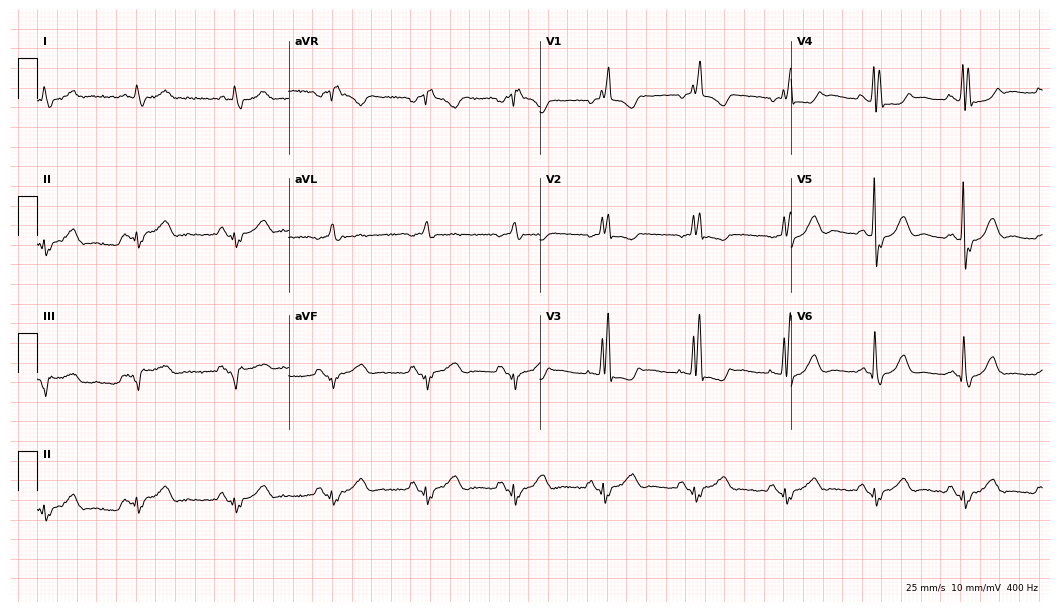
Electrocardiogram (10.2-second recording at 400 Hz), a 73-year-old female. Interpretation includes right bundle branch block.